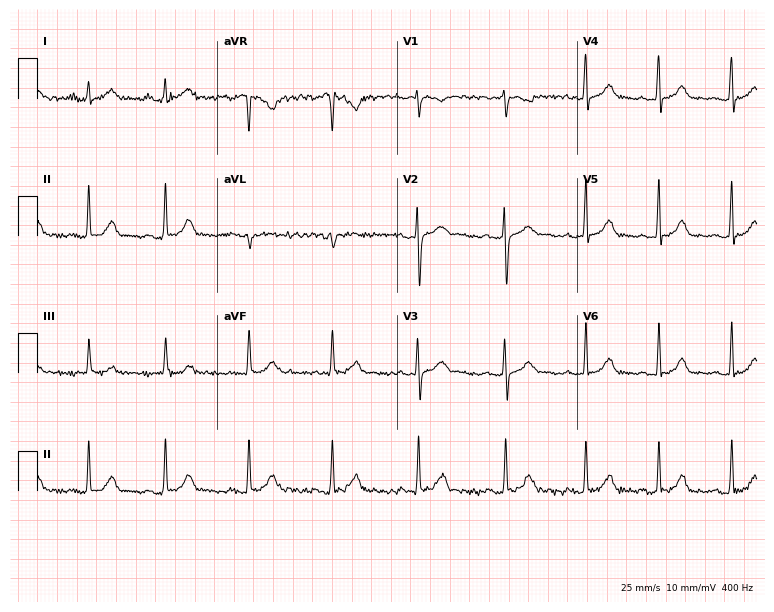
ECG (7.3-second recording at 400 Hz) — a 29-year-old female patient. Screened for six findings — first-degree AV block, right bundle branch block (RBBB), left bundle branch block (LBBB), sinus bradycardia, atrial fibrillation (AF), sinus tachycardia — none is recorded. Findings outside these six are not listed.